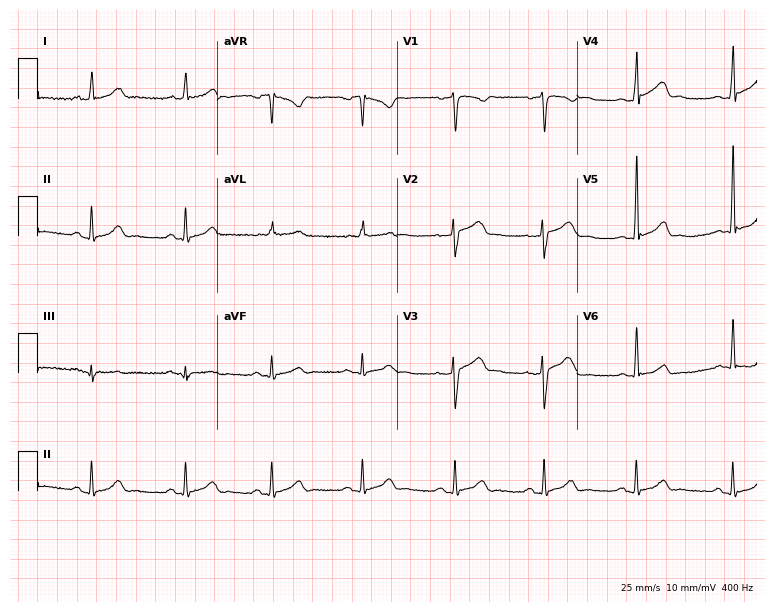
Electrocardiogram, a male patient, 33 years old. Overall reading on record: normal ECG.